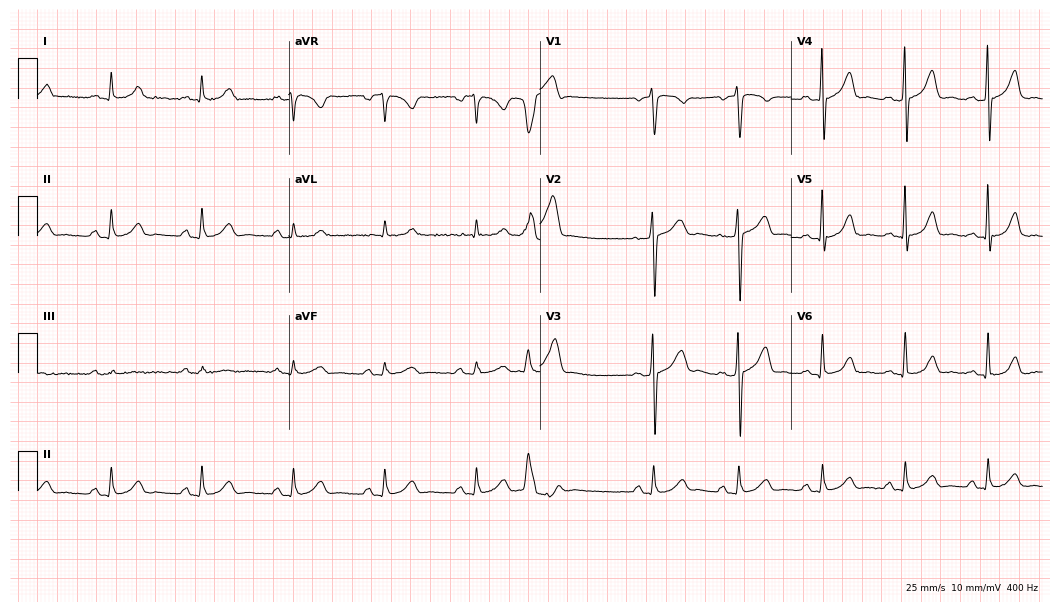
Electrocardiogram (10.2-second recording at 400 Hz), a 61-year-old man. Of the six screened findings (first-degree AV block, right bundle branch block (RBBB), left bundle branch block (LBBB), sinus bradycardia, atrial fibrillation (AF), sinus tachycardia), none is recorded. Other findings, if any, are not listed.